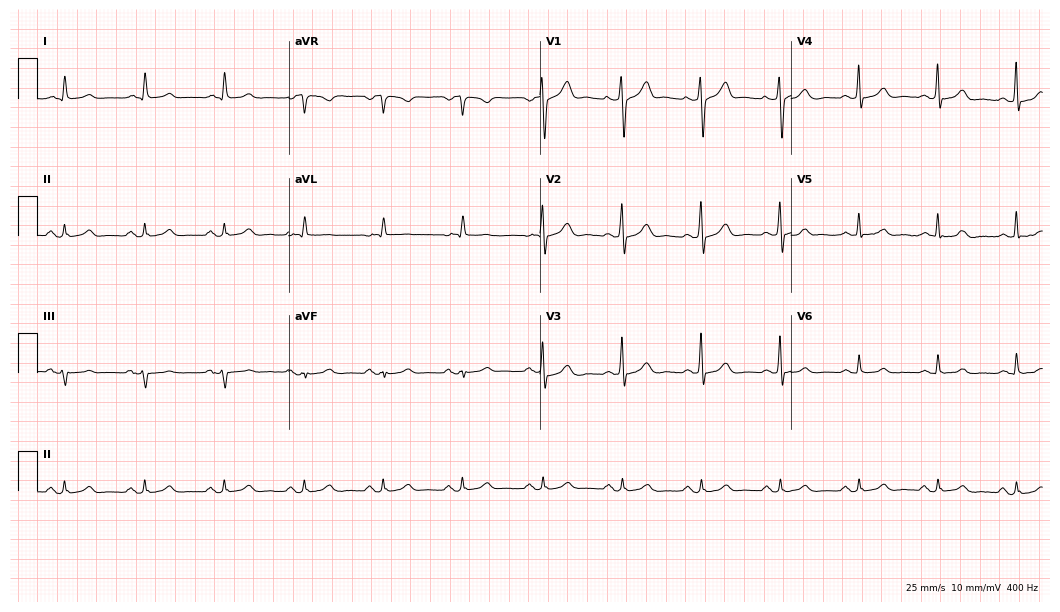
12-lead ECG from a male patient, 80 years old. Recorded interpretation: within normal limits.